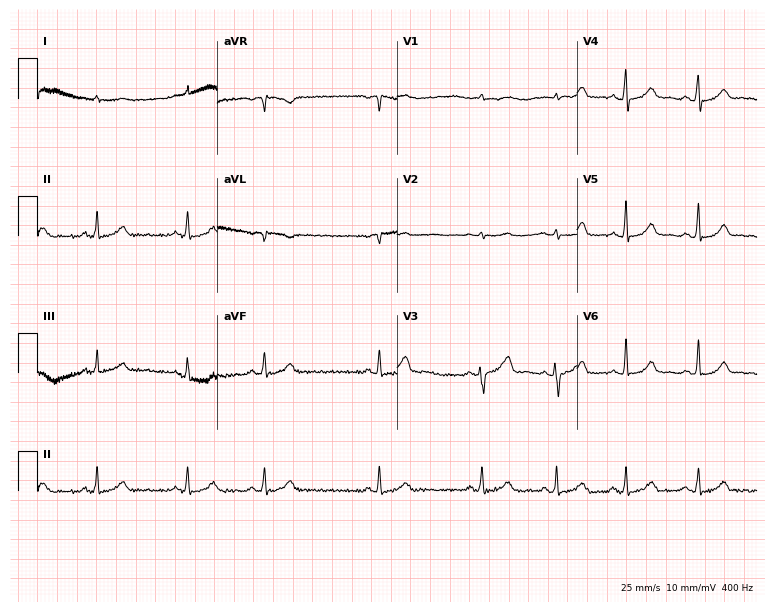
12-lead ECG from a 19-year-old female. No first-degree AV block, right bundle branch block, left bundle branch block, sinus bradycardia, atrial fibrillation or sinus tachycardia recorded for this tracing. Only these six findings were labelled.